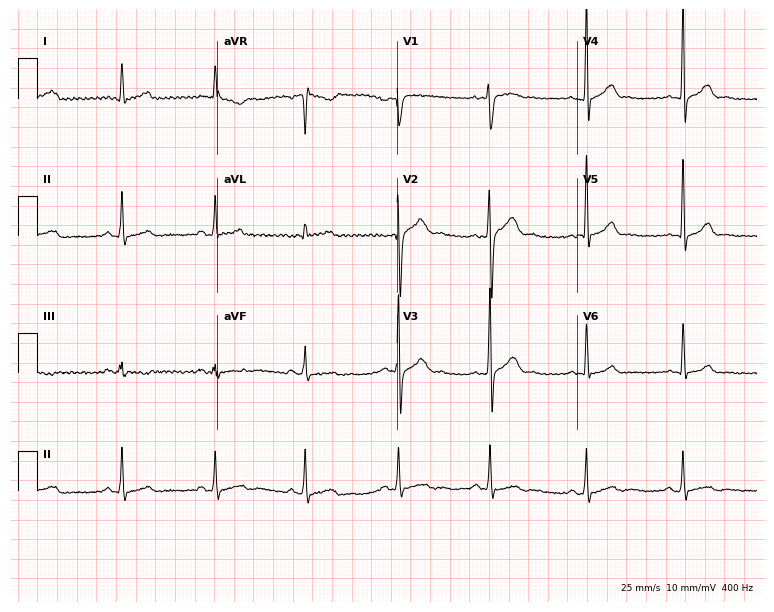
ECG (7.3-second recording at 400 Hz) — a male, 21 years old. Screened for six findings — first-degree AV block, right bundle branch block, left bundle branch block, sinus bradycardia, atrial fibrillation, sinus tachycardia — none is recorded.